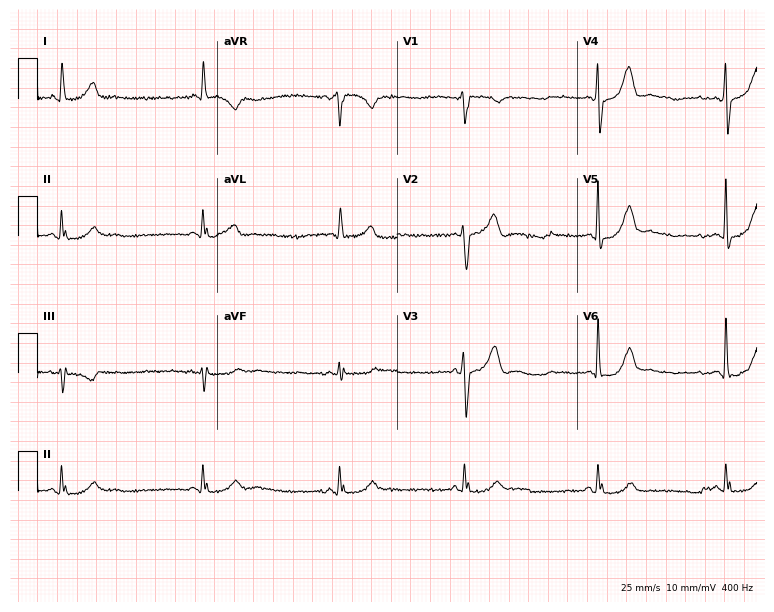
12-lead ECG (7.3-second recording at 400 Hz) from a 62-year-old man. Screened for six findings — first-degree AV block, right bundle branch block (RBBB), left bundle branch block (LBBB), sinus bradycardia, atrial fibrillation (AF), sinus tachycardia — none is recorded. Findings outside these six are not listed.